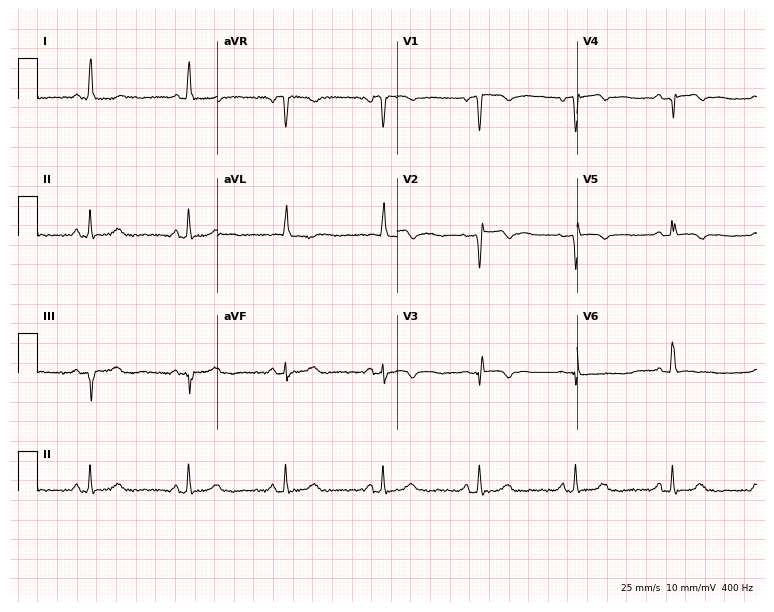
ECG (7.3-second recording at 400 Hz) — a 76-year-old female. Screened for six findings — first-degree AV block, right bundle branch block, left bundle branch block, sinus bradycardia, atrial fibrillation, sinus tachycardia — none is recorded.